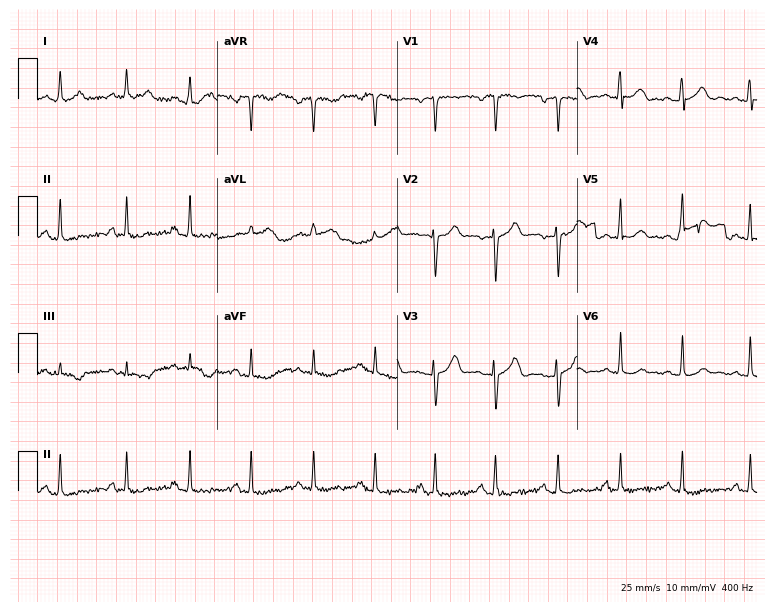
ECG — a female patient, 25 years old. Screened for six findings — first-degree AV block, right bundle branch block (RBBB), left bundle branch block (LBBB), sinus bradycardia, atrial fibrillation (AF), sinus tachycardia — none is recorded. Other findings, if any, are not listed.